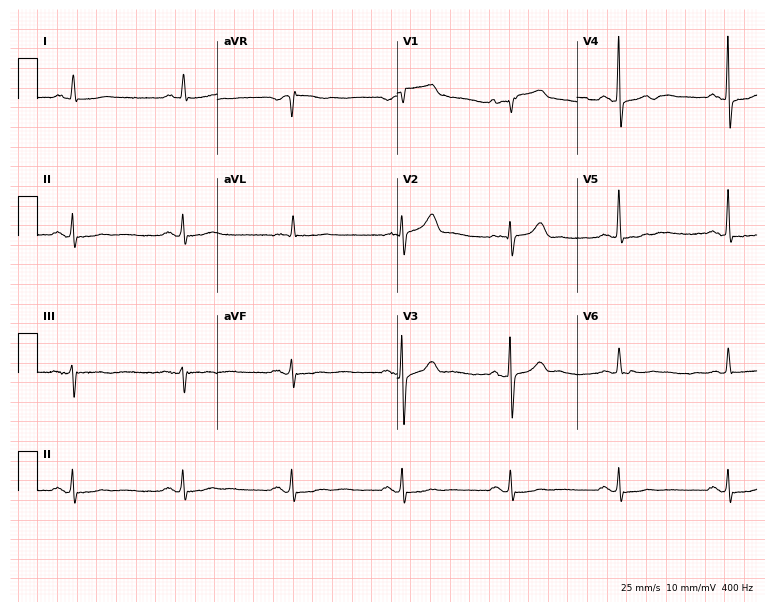
Resting 12-lead electrocardiogram (7.3-second recording at 400 Hz). Patient: a male, 82 years old. None of these six findings is recorded: first-degree AV block, right bundle branch block, left bundle branch block, sinus bradycardia, atrial fibrillation, sinus tachycardia.